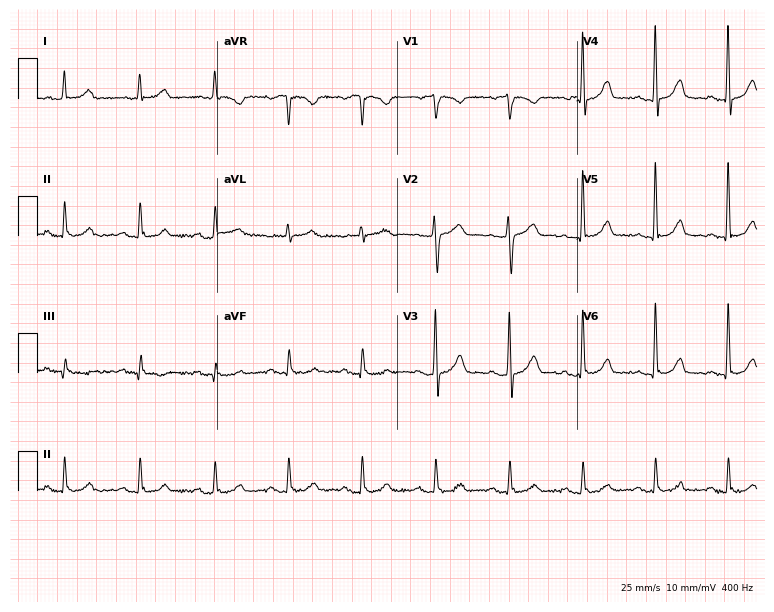
Resting 12-lead electrocardiogram (7.3-second recording at 400 Hz). Patient: a man, 54 years old. Read as a normal ECG.